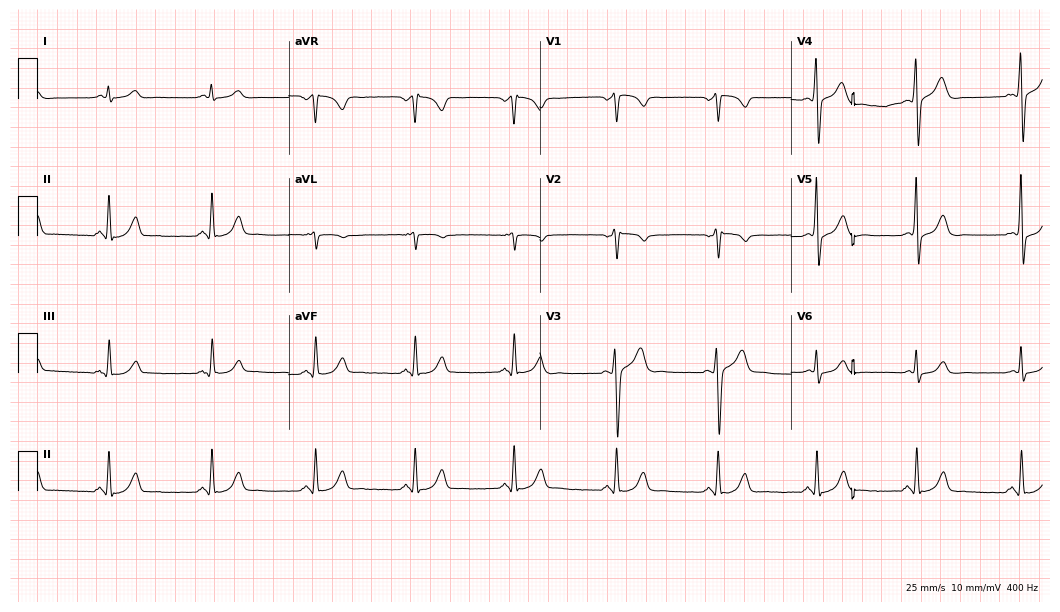
Electrocardiogram, a 51-year-old man. Overall reading on record: normal ECG.